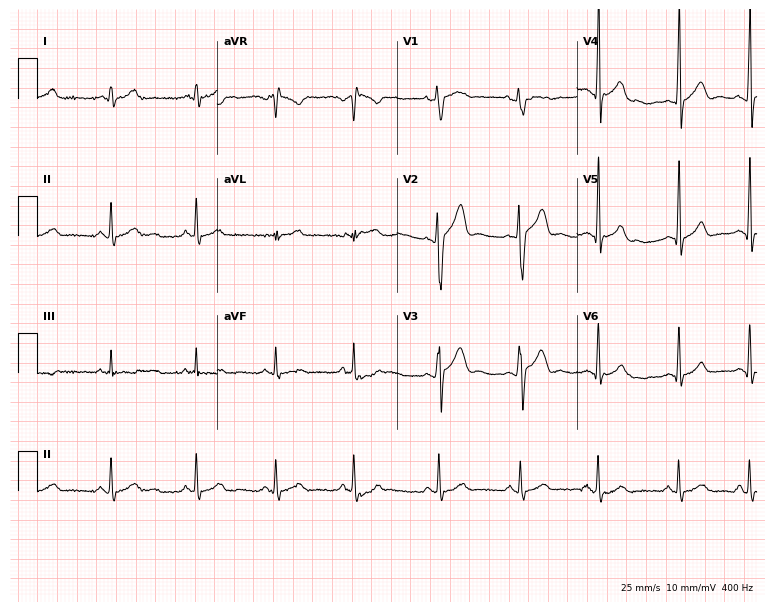
12-lead ECG (7.3-second recording at 400 Hz) from a 20-year-old male patient. Screened for six findings — first-degree AV block, right bundle branch block (RBBB), left bundle branch block (LBBB), sinus bradycardia, atrial fibrillation (AF), sinus tachycardia — none is recorded.